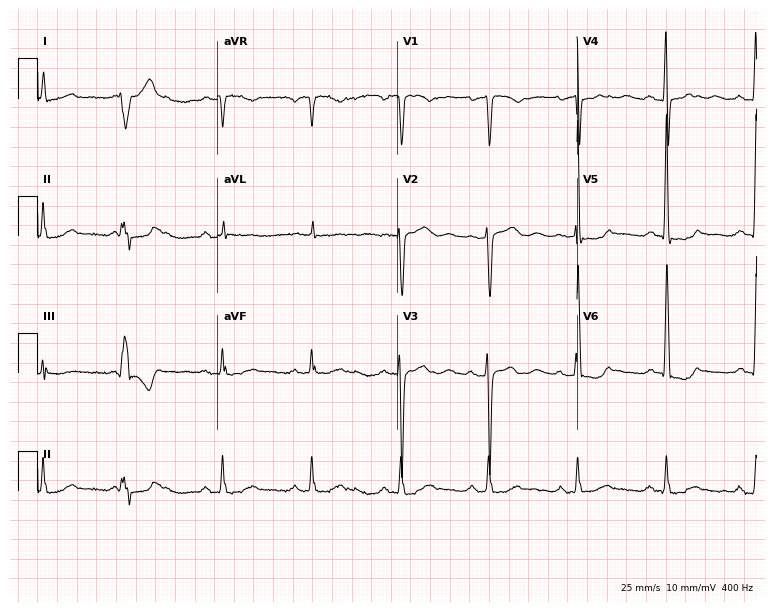
12-lead ECG from a 58-year-old woman (7.3-second recording at 400 Hz). No first-degree AV block, right bundle branch block, left bundle branch block, sinus bradycardia, atrial fibrillation or sinus tachycardia recorded for this tracing. Only these six findings were labelled.